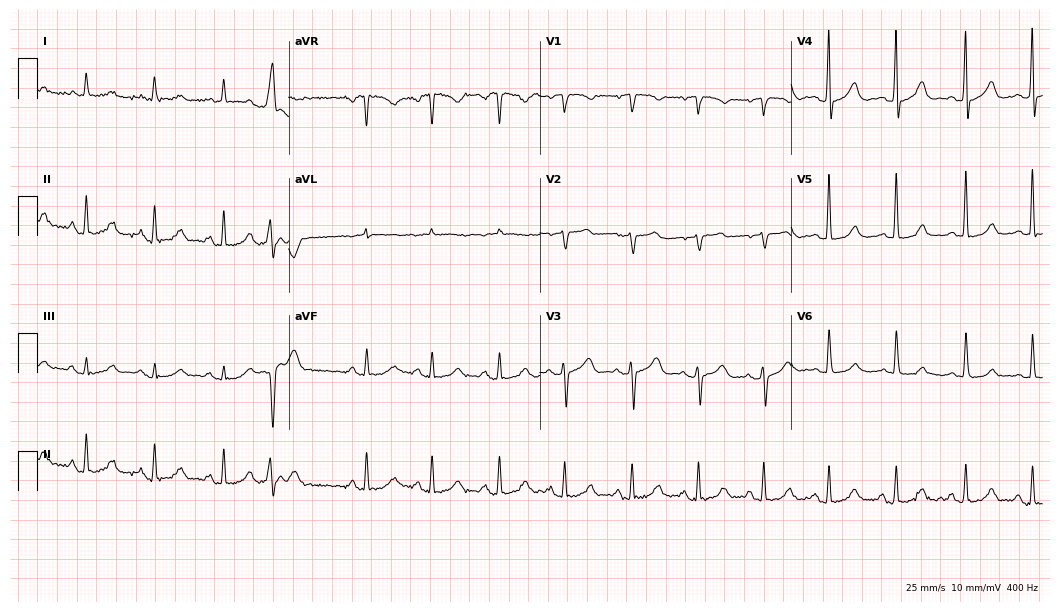
ECG (10.2-second recording at 400 Hz) — a female patient, 70 years old. Screened for six findings — first-degree AV block, right bundle branch block (RBBB), left bundle branch block (LBBB), sinus bradycardia, atrial fibrillation (AF), sinus tachycardia — none is recorded.